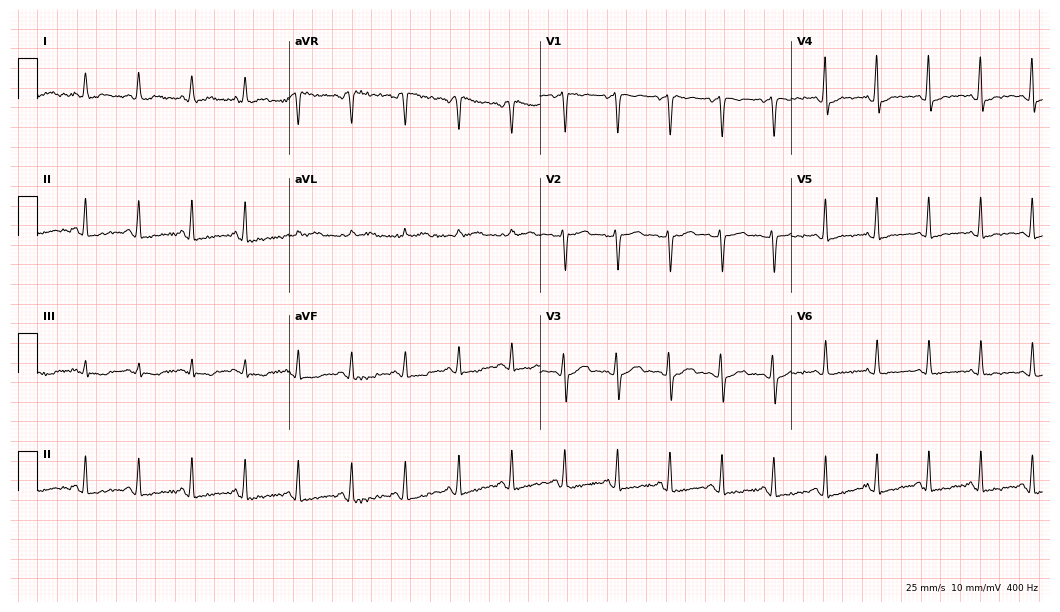
Resting 12-lead electrocardiogram (10.2-second recording at 400 Hz). Patient: a female, 30 years old. None of these six findings is recorded: first-degree AV block, right bundle branch block, left bundle branch block, sinus bradycardia, atrial fibrillation, sinus tachycardia. Other findings, if any, are not listed.